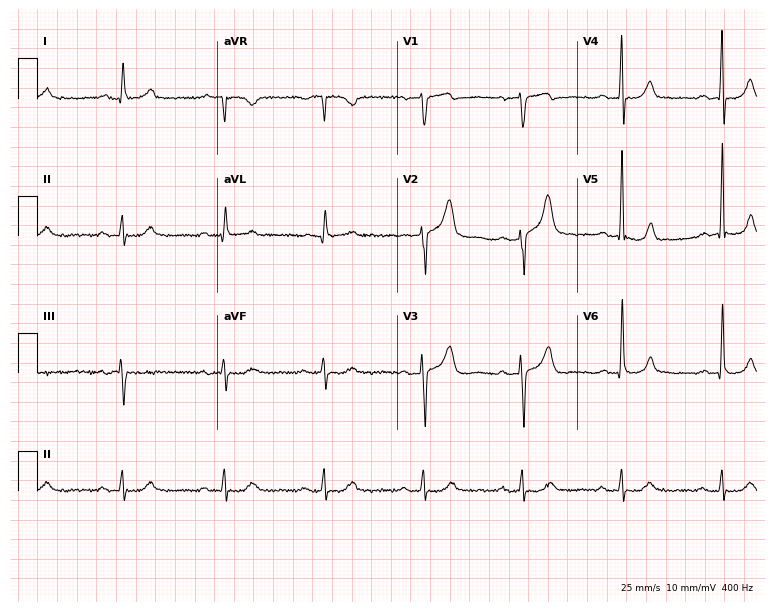
Electrocardiogram (7.3-second recording at 400 Hz), a man, 73 years old. Of the six screened findings (first-degree AV block, right bundle branch block, left bundle branch block, sinus bradycardia, atrial fibrillation, sinus tachycardia), none is recorded.